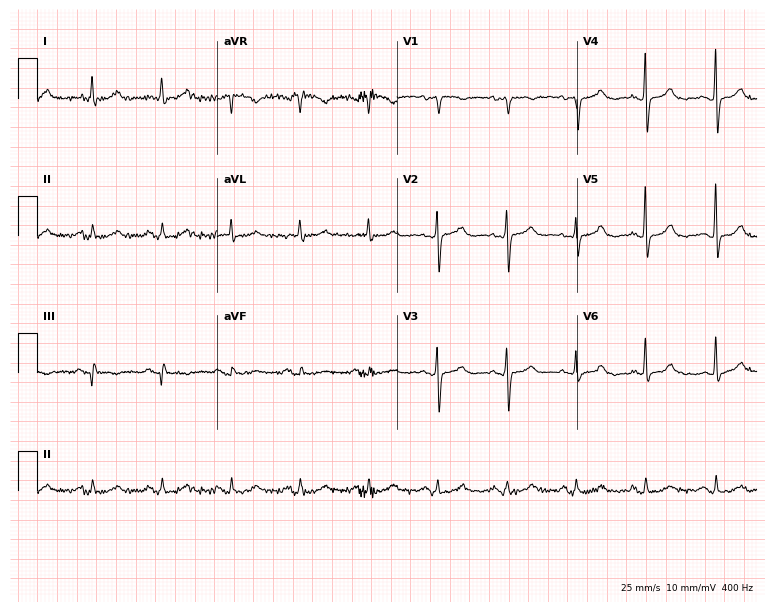
ECG (7.3-second recording at 400 Hz) — a 70-year-old female. Screened for six findings — first-degree AV block, right bundle branch block, left bundle branch block, sinus bradycardia, atrial fibrillation, sinus tachycardia — none is recorded.